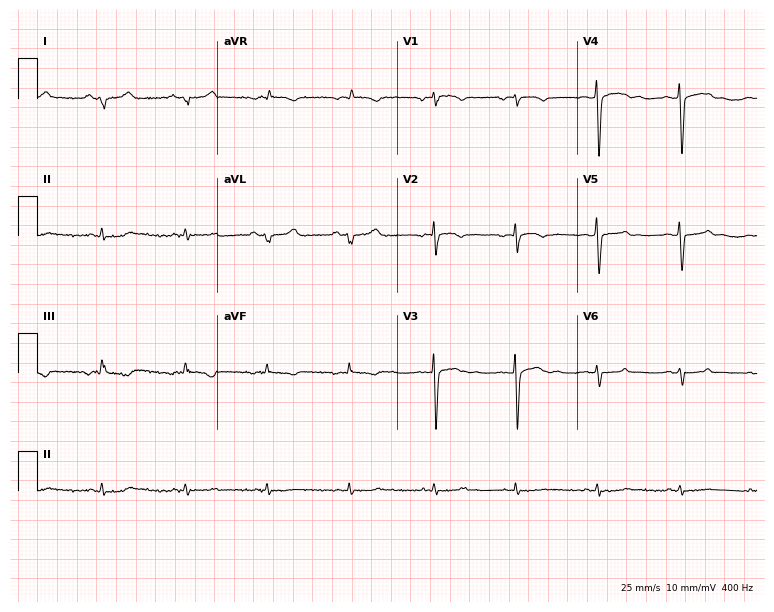
ECG — a 65-year-old male patient. Screened for six findings — first-degree AV block, right bundle branch block (RBBB), left bundle branch block (LBBB), sinus bradycardia, atrial fibrillation (AF), sinus tachycardia — none is recorded. Only these six findings were labelled.